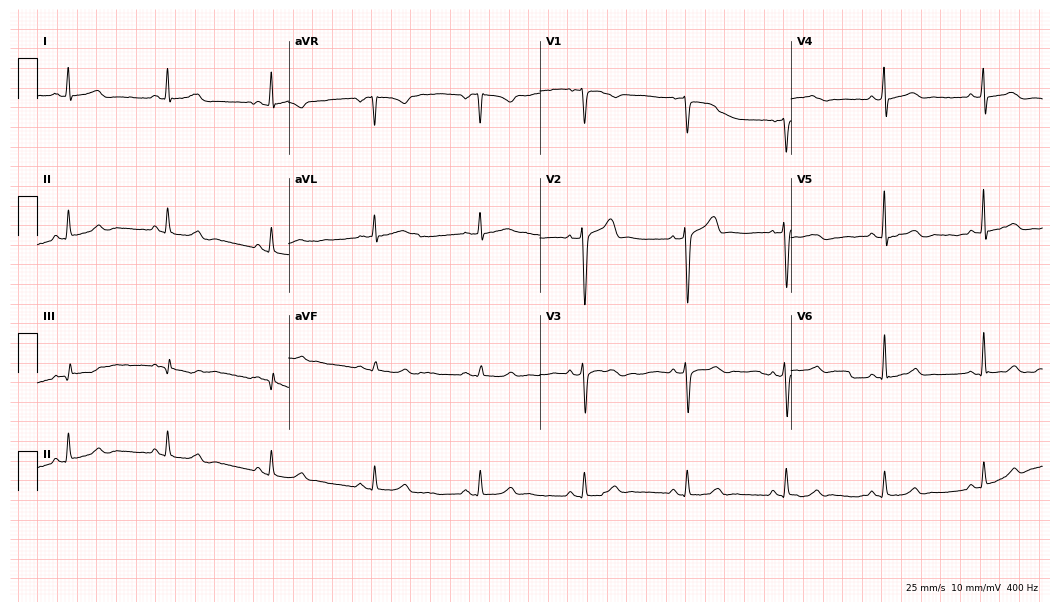
ECG — a 52-year-old man. Labelled as a normal ECG.